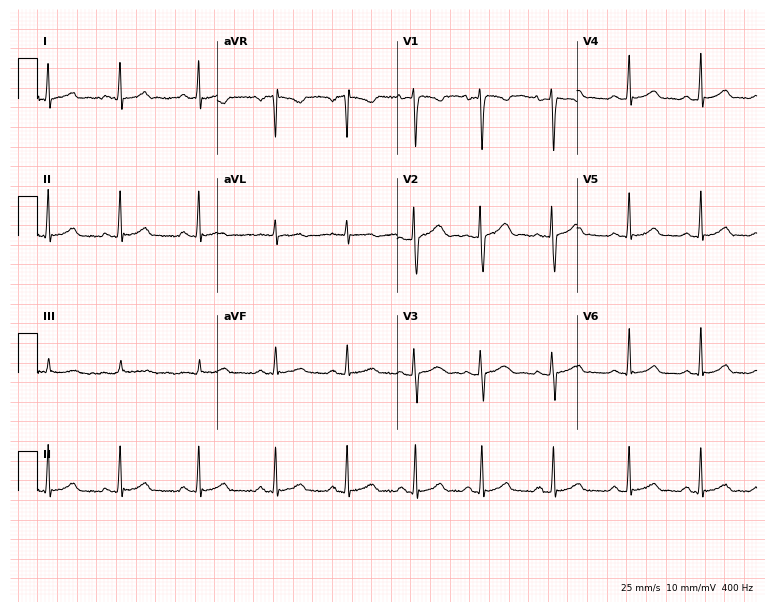
12-lead ECG from a woman, 35 years old. Recorded interpretation: within normal limits.